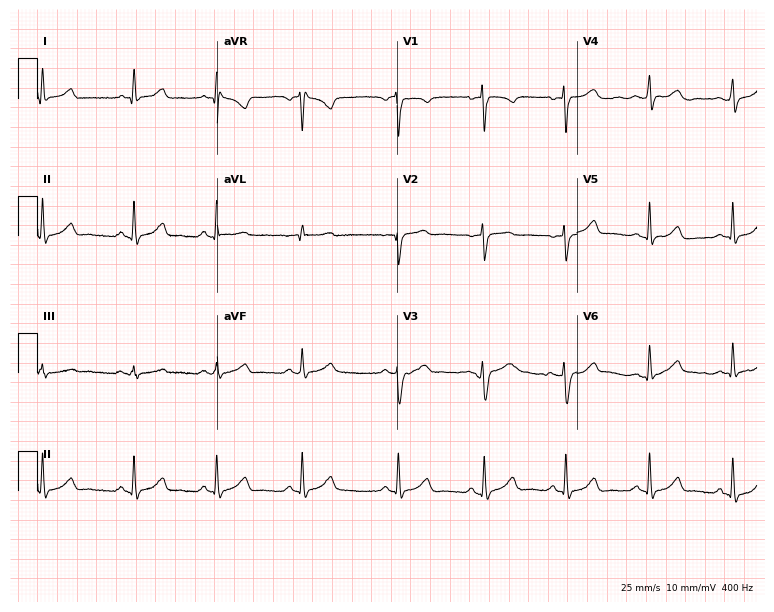
Electrocardiogram (7.3-second recording at 400 Hz), a 32-year-old female patient. Overall reading on record: normal ECG.